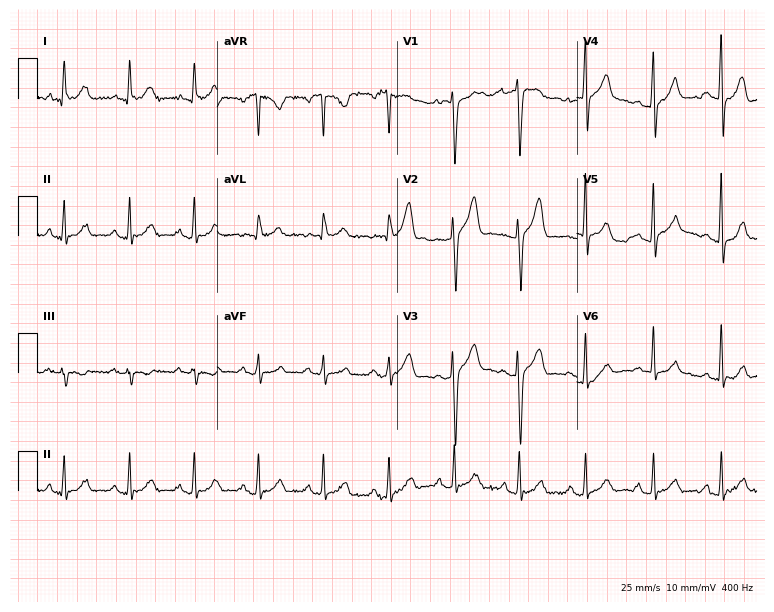
12-lead ECG from a male patient, 37 years old (7.3-second recording at 400 Hz). Recorded interpretation: within normal limits.